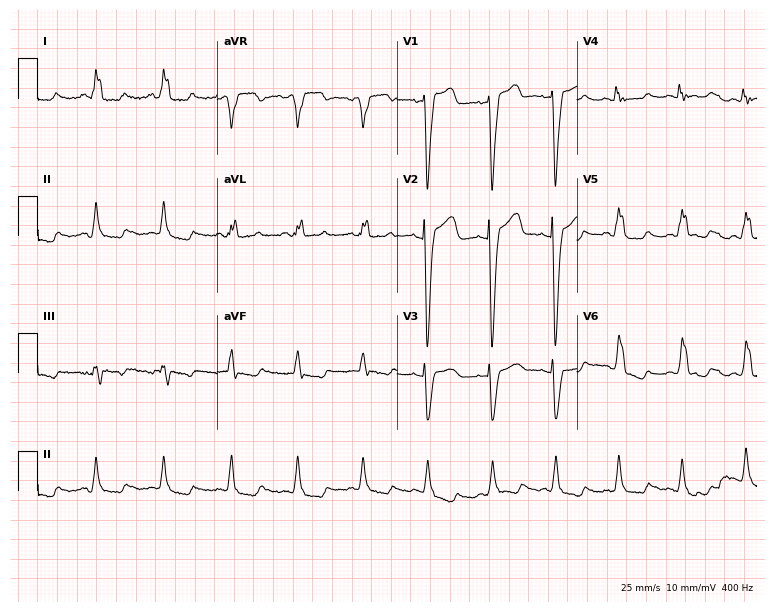
Resting 12-lead electrocardiogram. Patient: a female, 60 years old. The tracing shows left bundle branch block.